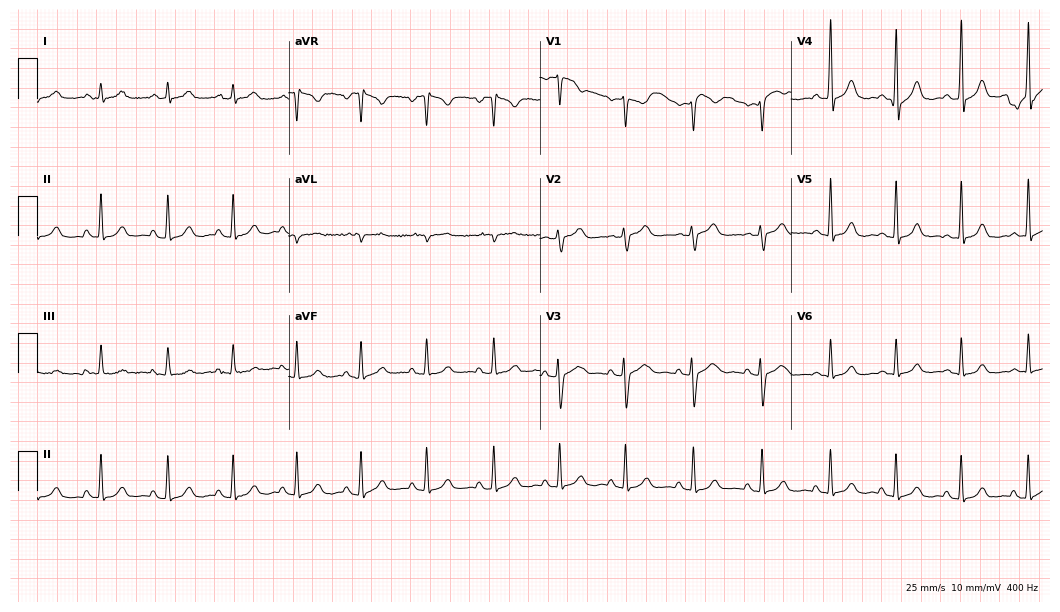
Electrocardiogram (10.2-second recording at 400 Hz), a female, 38 years old. Overall reading on record: normal ECG.